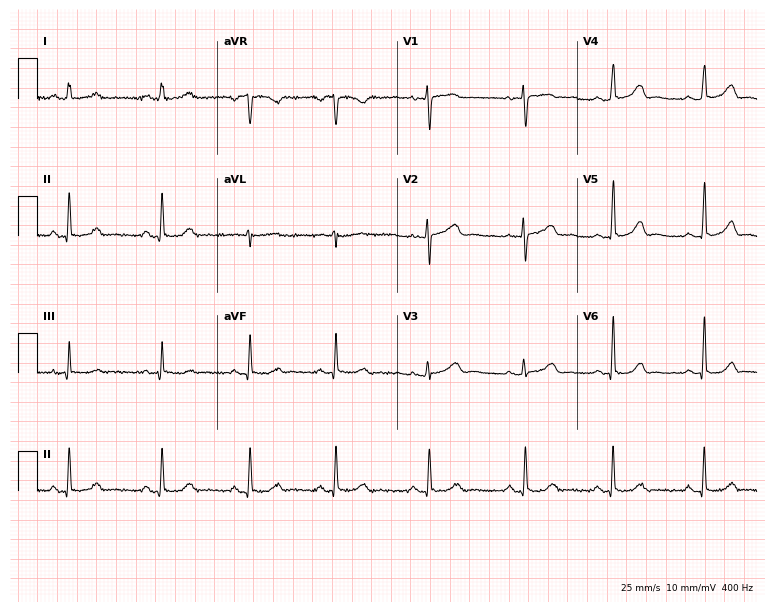
Electrocardiogram, a 33-year-old female patient. Overall reading on record: normal ECG.